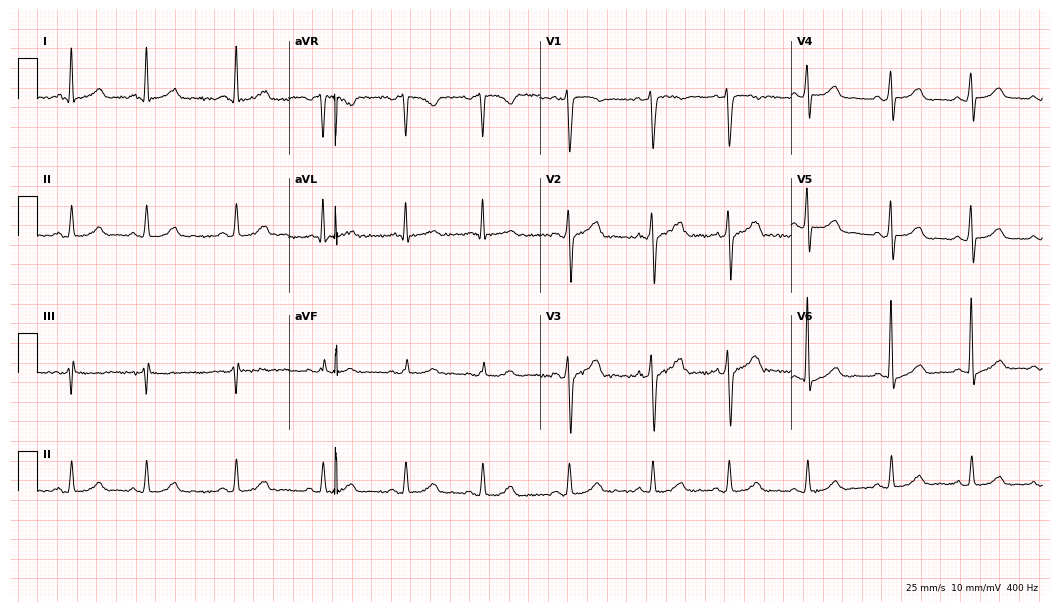
12-lead ECG from a male patient, 46 years old. Labelled as a normal ECG.